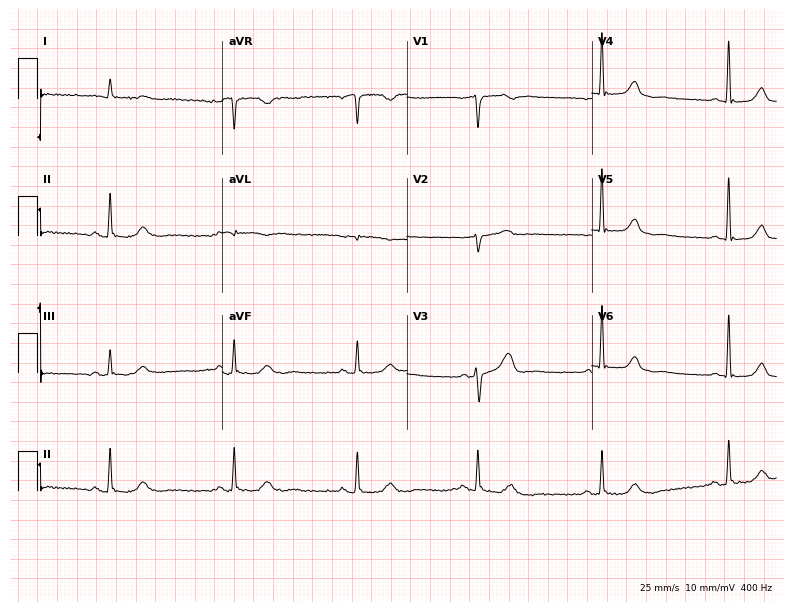
12-lead ECG (7.5-second recording at 400 Hz) from a male, 82 years old. Findings include sinus bradycardia (a sinus rate of 50 beats per minute or less).